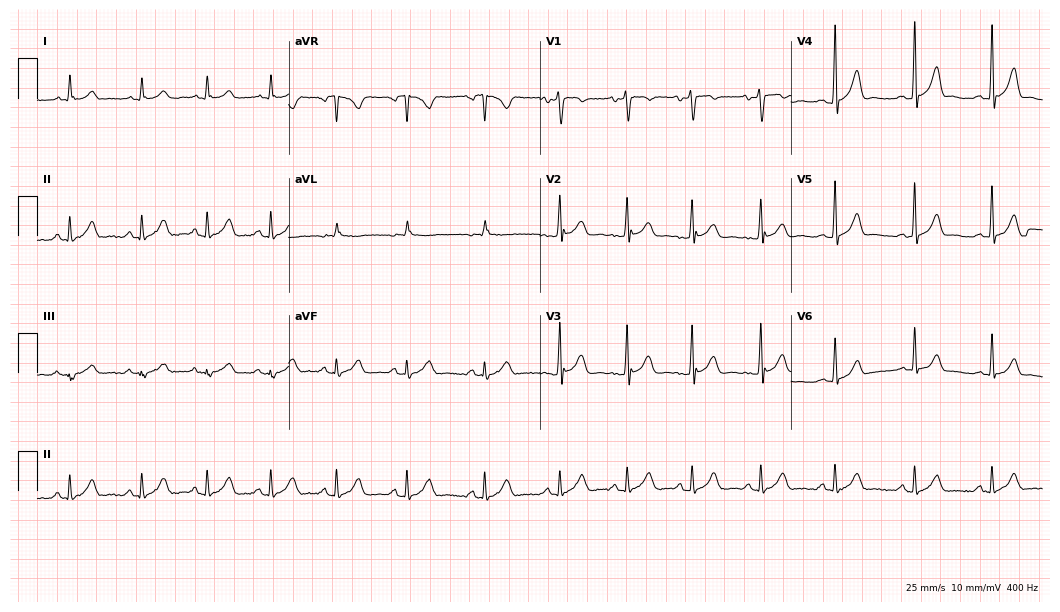
12-lead ECG from a male patient, 28 years old. Recorded interpretation: within normal limits.